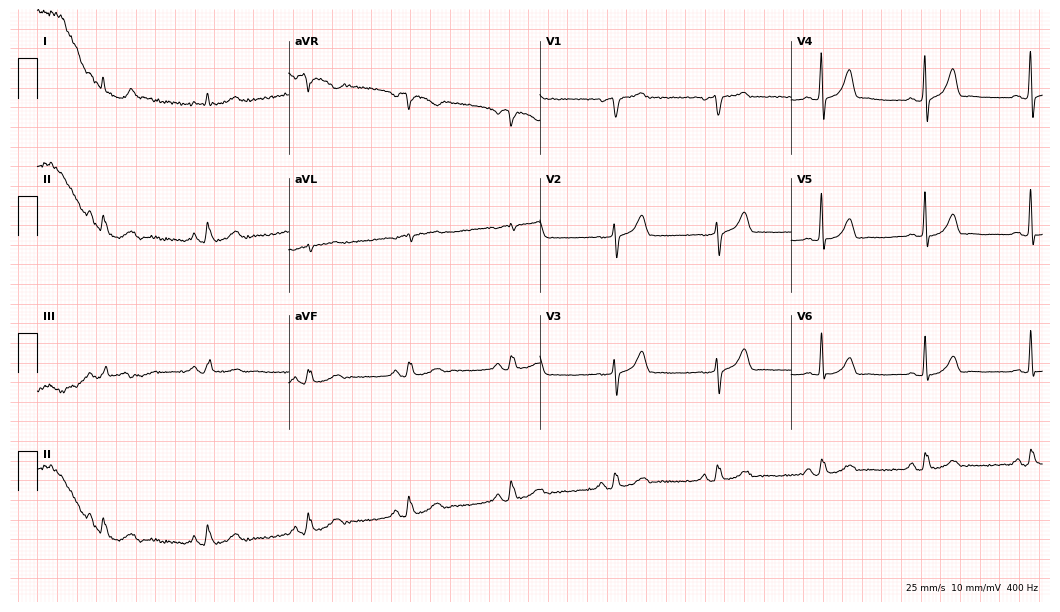
12-lead ECG (10.2-second recording at 400 Hz) from a male, 69 years old. Labelled as a normal ECG.